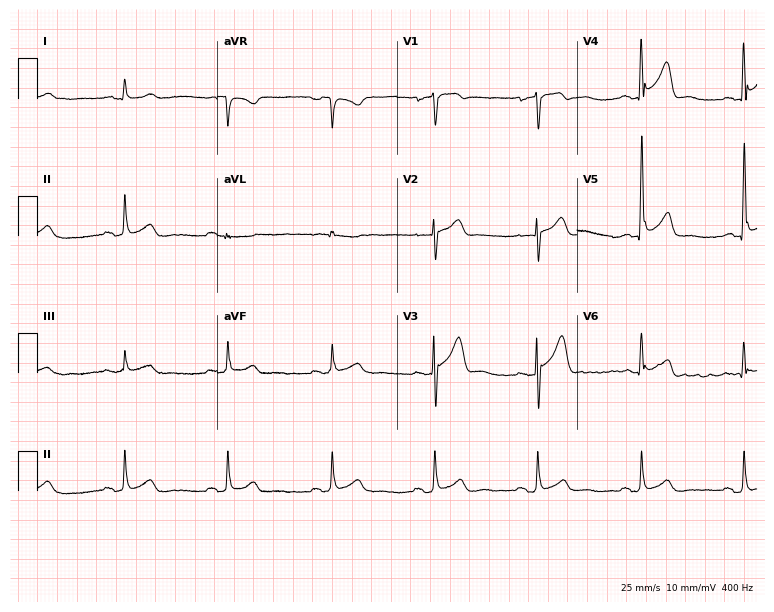
12-lead ECG from a male patient, 64 years old. No first-degree AV block, right bundle branch block, left bundle branch block, sinus bradycardia, atrial fibrillation or sinus tachycardia recorded for this tracing.